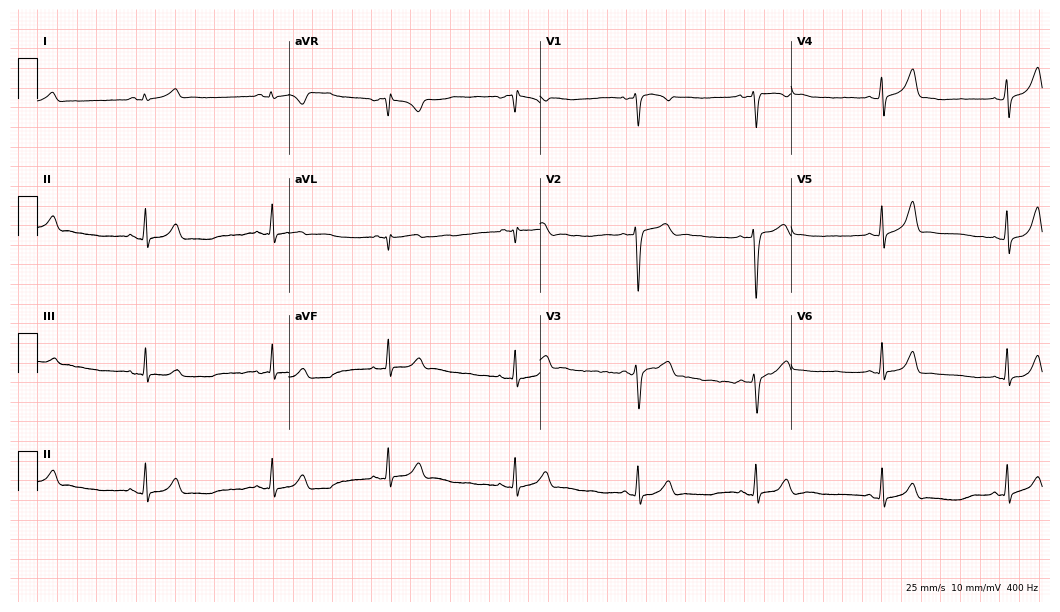
Standard 12-lead ECG recorded from a woman, 30 years old. The tracing shows sinus bradycardia (a sinus rate of 50 beats per minute or less).